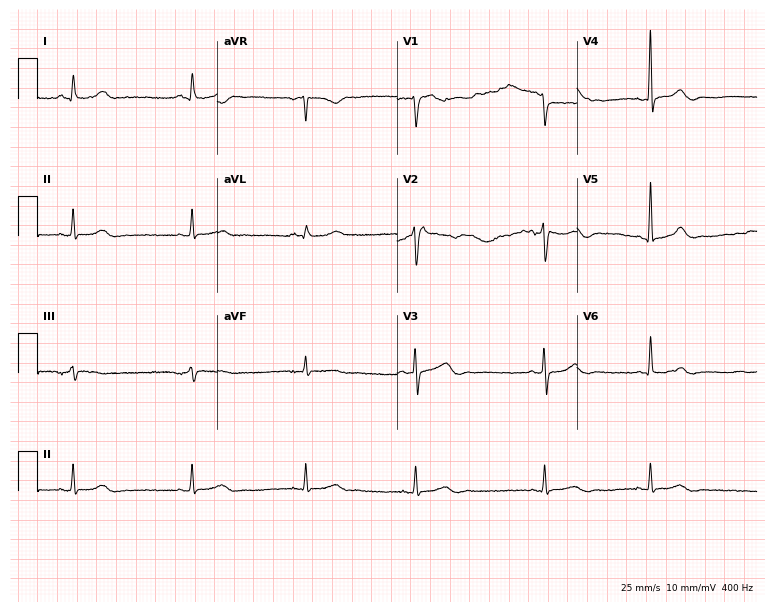
12-lead ECG from a 49-year-old woman (7.3-second recording at 400 Hz). No first-degree AV block, right bundle branch block (RBBB), left bundle branch block (LBBB), sinus bradycardia, atrial fibrillation (AF) or sinus tachycardia recorded for this tracing.